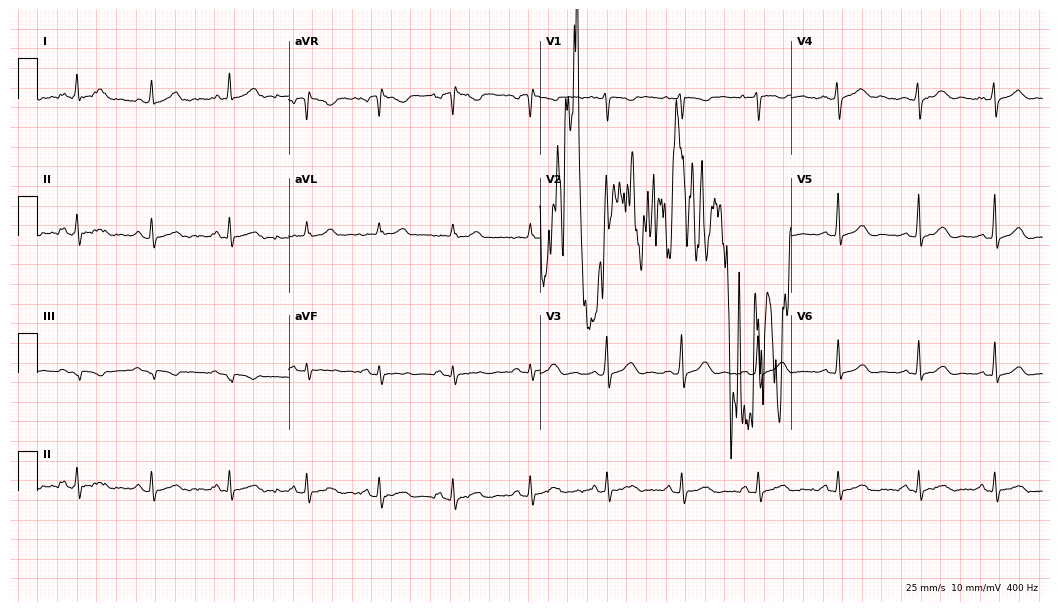
12-lead ECG from a 23-year-old woman. No first-degree AV block, right bundle branch block (RBBB), left bundle branch block (LBBB), sinus bradycardia, atrial fibrillation (AF) or sinus tachycardia recorded for this tracing.